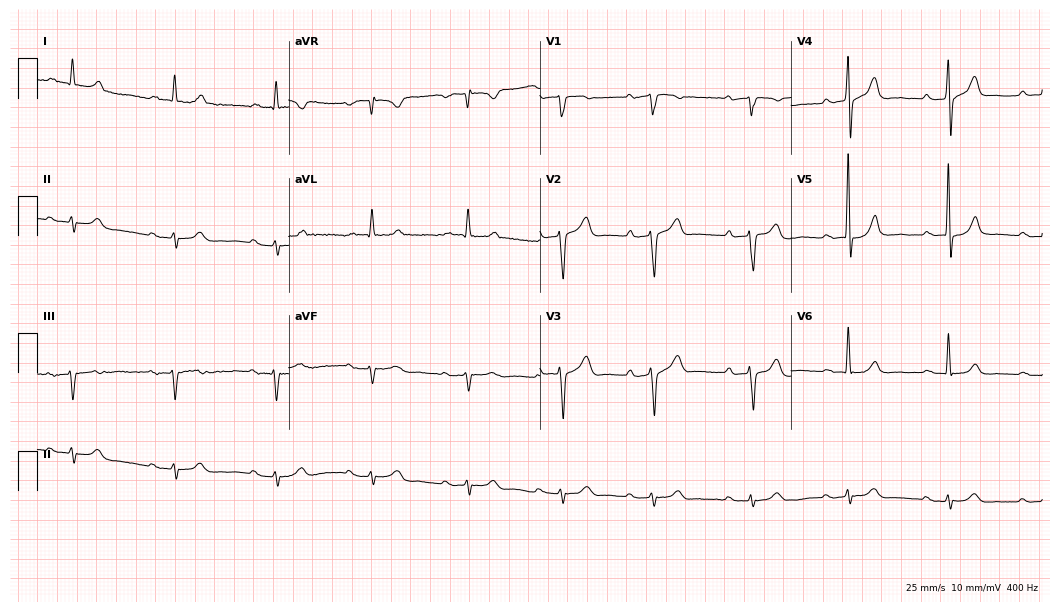
12-lead ECG (10.2-second recording at 400 Hz) from a male patient, 78 years old. Screened for six findings — first-degree AV block, right bundle branch block, left bundle branch block, sinus bradycardia, atrial fibrillation, sinus tachycardia — none is recorded.